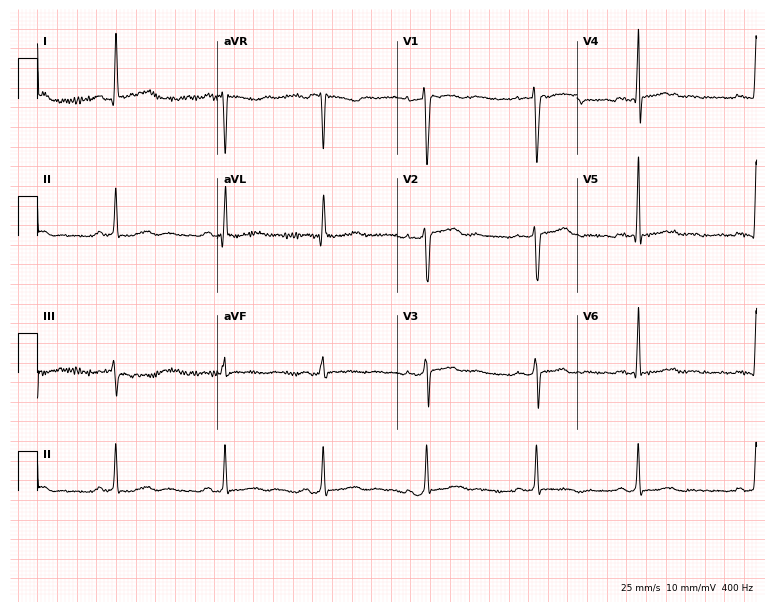
12-lead ECG from a 34-year-old female patient (7.3-second recording at 400 Hz). No first-degree AV block, right bundle branch block (RBBB), left bundle branch block (LBBB), sinus bradycardia, atrial fibrillation (AF) or sinus tachycardia recorded for this tracing. Other findings, if any, are not listed.